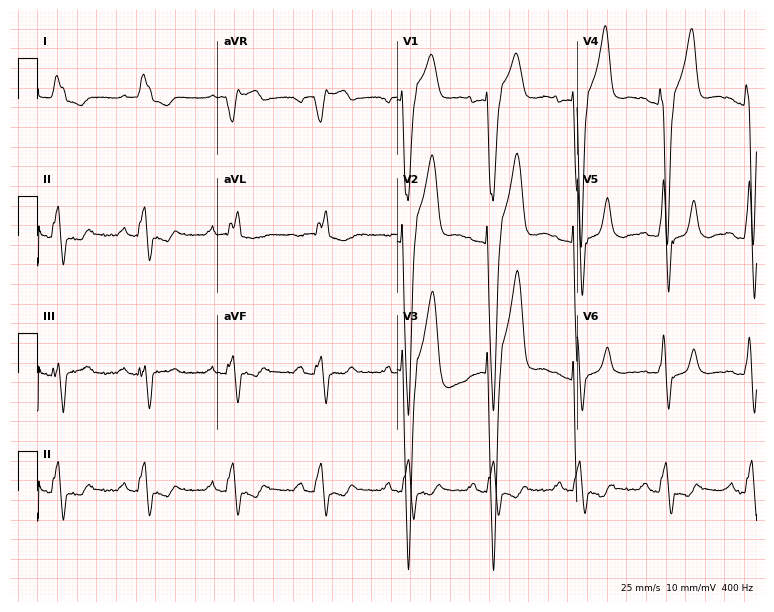
12-lead ECG (7.3-second recording at 400 Hz) from a 77-year-old man. Screened for six findings — first-degree AV block, right bundle branch block, left bundle branch block, sinus bradycardia, atrial fibrillation, sinus tachycardia — none is recorded.